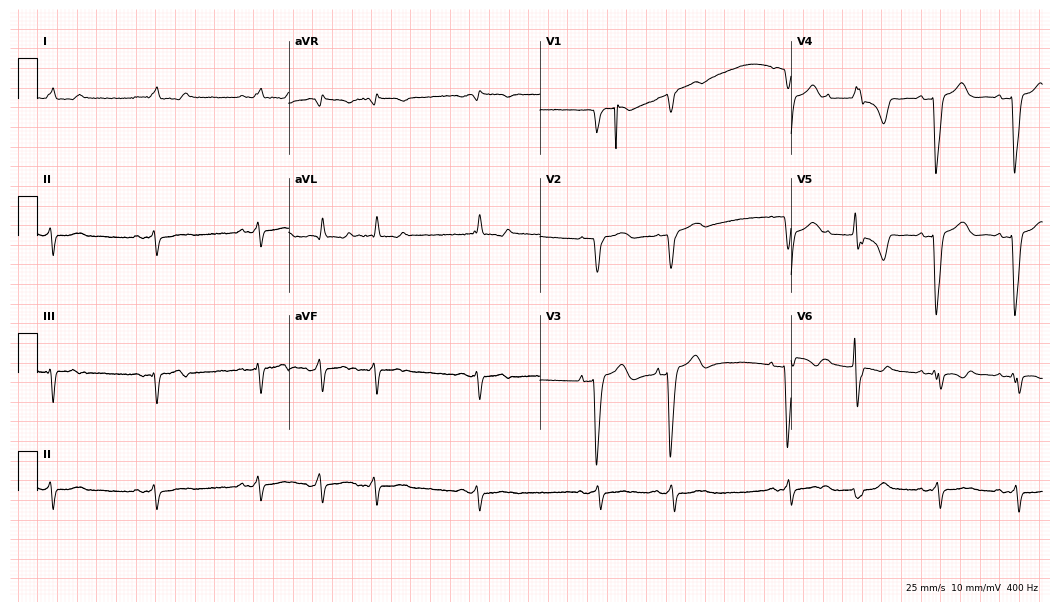
12-lead ECG (10.2-second recording at 400 Hz) from a 77-year-old woman. Screened for six findings — first-degree AV block, right bundle branch block, left bundle branch block, sinus bradycardia, atrial fibrillation, sinus tachycardia — none is recorded. Only these six findings were labelled.